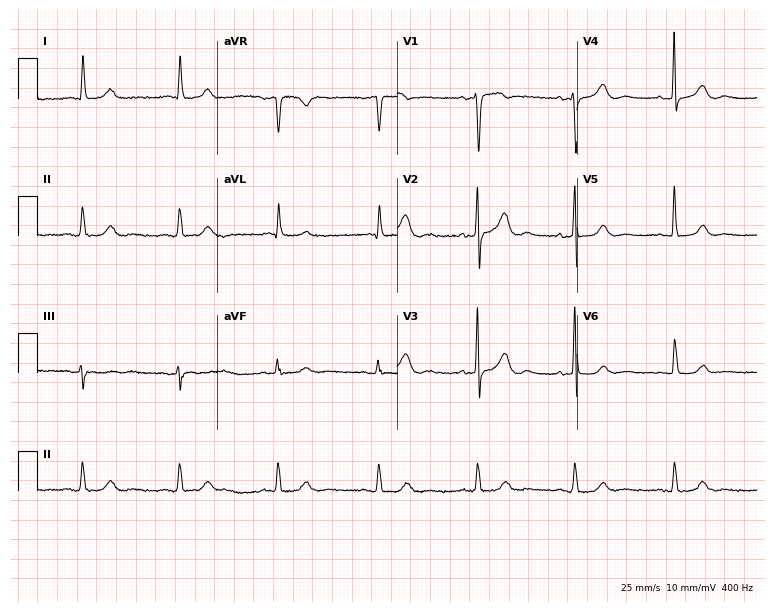
12-lead ECG from a woman, 69 years old (7.3-second recording at 400 Hz). Recorded interpretation: within normal limits.